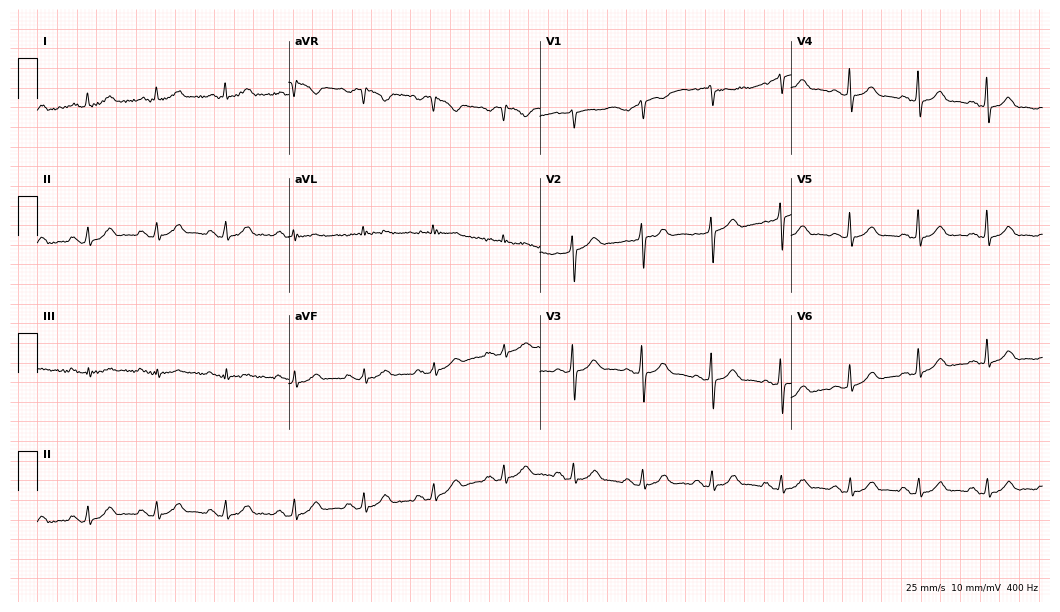
Standard 12-lead ECG recorded from a 67-year-old female patient. Read as a normal ECG.